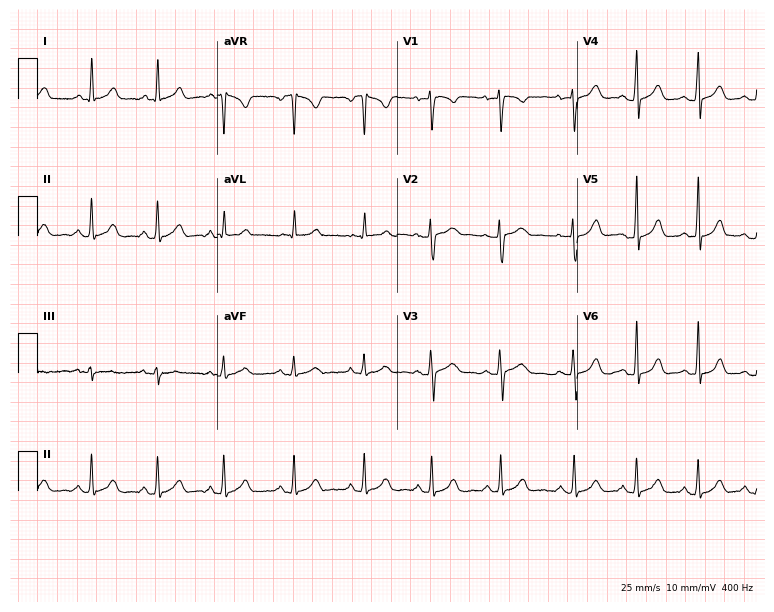
Standard 12-lead ECG recorded from a female, 26 years old (7.3-second recording at 400 Hz). None of these six findings is recorded: first-degree AV block, right bundle branch block, left bundle branch block, sinus bradycardia, atrial fibrillation, sinus tachycardia.